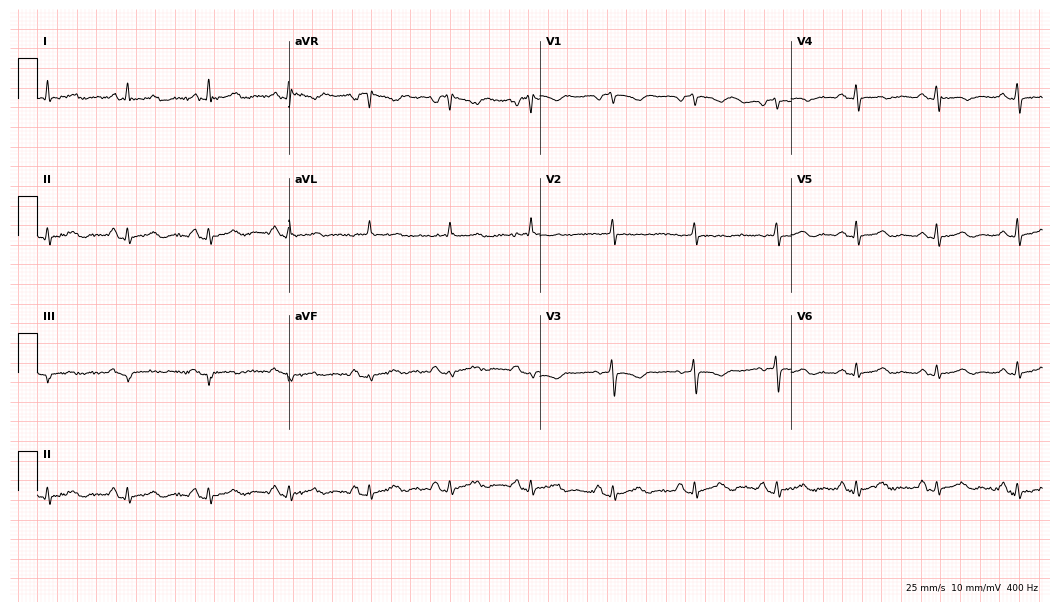
Electrocardiogram, a 71-year-old female. Of the six screened findings (first-degree AV block, right bundle branch block, left bundle branch block, sinus bradycardia, atrial fibrillation, sinus tachycardia), none is recorded.